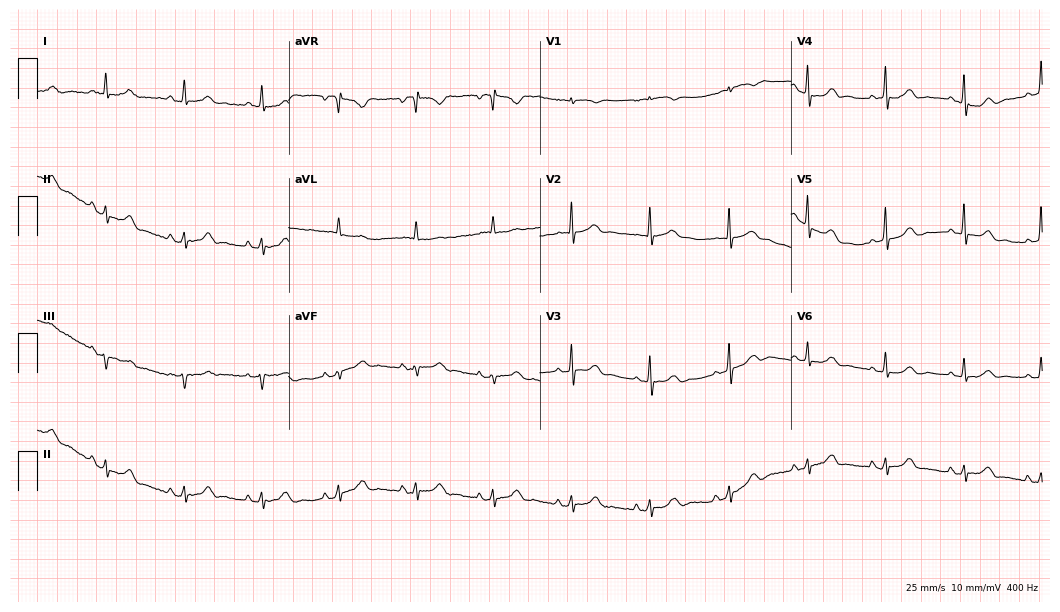
Resting 12-lead electrocardiogram. Patient: a female, 79 years old. Read as a normal ECG.